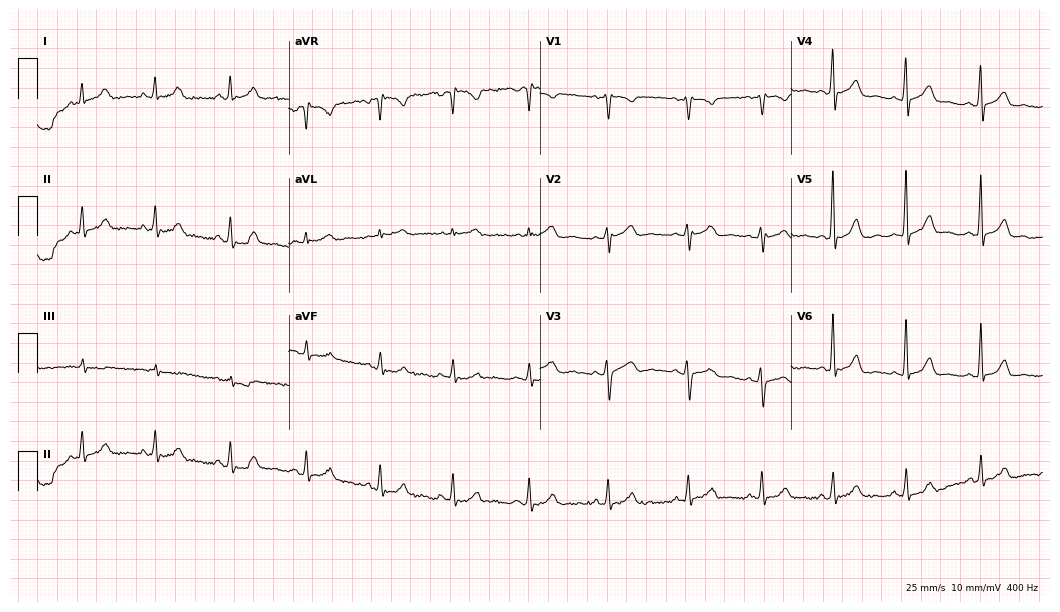
12-lead ECG (10.2-second recording at 400 Hz) from a female patient, 42 years old. Labelled as a normal ECG.